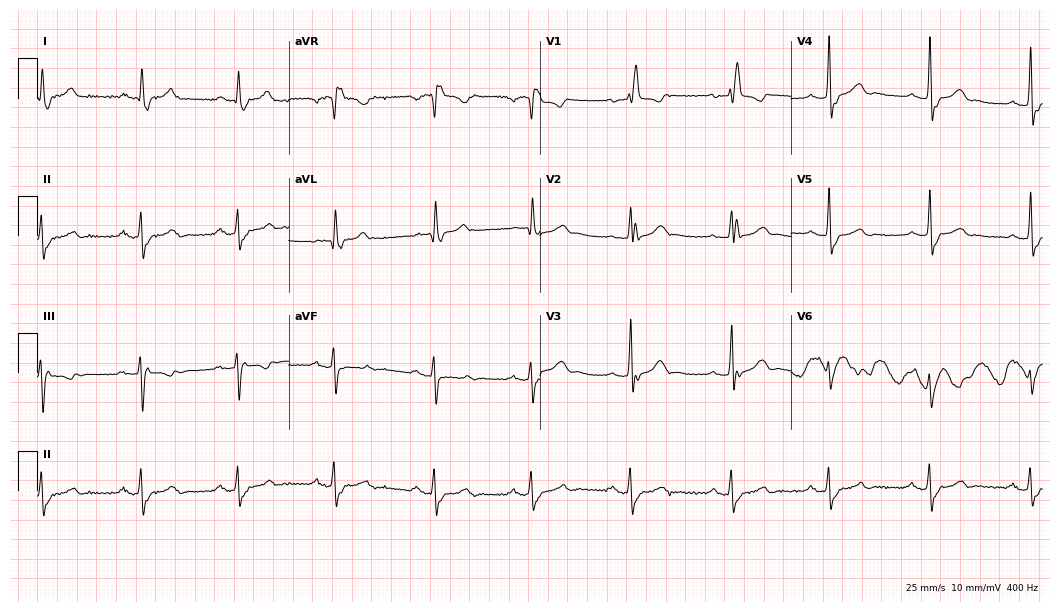
Resting 12-lead electrocardiogram (10.2-second recording at 400 Hz). Patient: a male, 80 years old. The tracing shows right bundle branch block (RBBB).